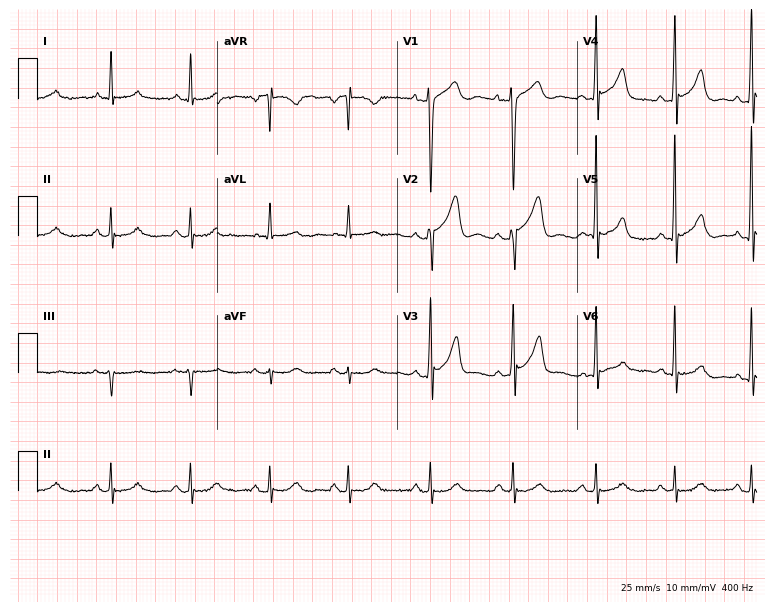
12-lead ECG from a male, 58 years old (7.3-second recording at 400 Hz). No first-degree AV block, right bundle branch block, left bundle branch block, sinus bradycardia, atrial fibrillation or sinus tachycardia recorded for this tracing. Other findings, if any, are not listed.